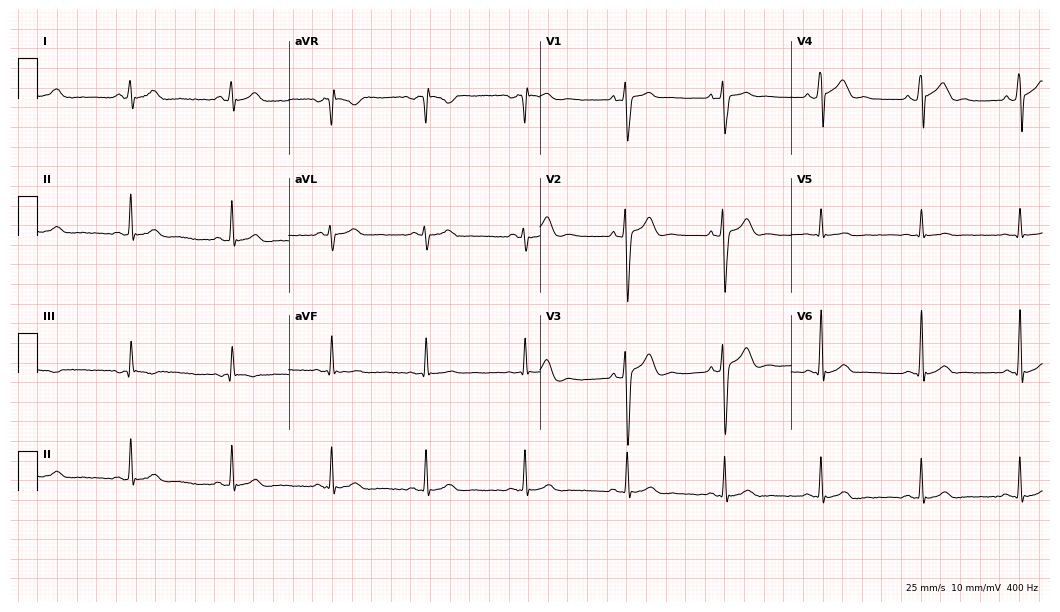
12-lead ECG from a man, 27 years old. Recorded interpretation: within normal limits.